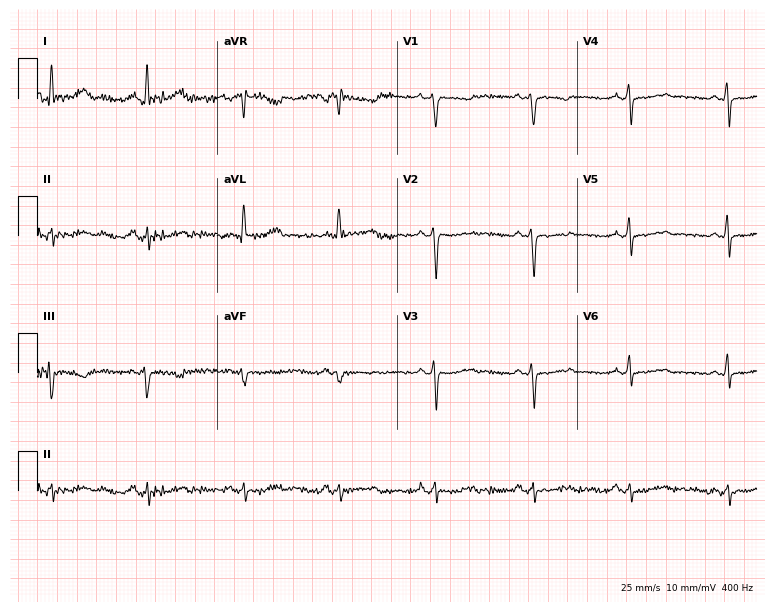
12-lead ECG from a 48-year-old female (7.3-second recording at 400 Hz). No first-degree AV block, right bundle branch block (RBBB), left bundle branch block (LBBB), sinus bradycardia, atrial fibrillation (AF) or sinus tachycardia recorded for this tracing. Only these six findings were labelled.